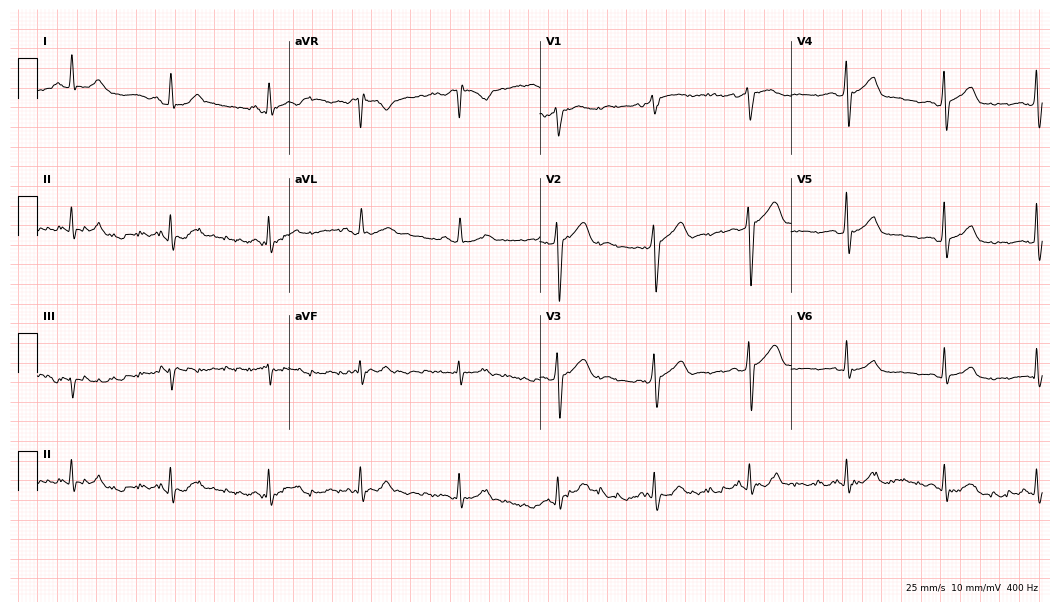
12-lead ECG from a male patient, 61 years old. Labelled as a normal ECG.